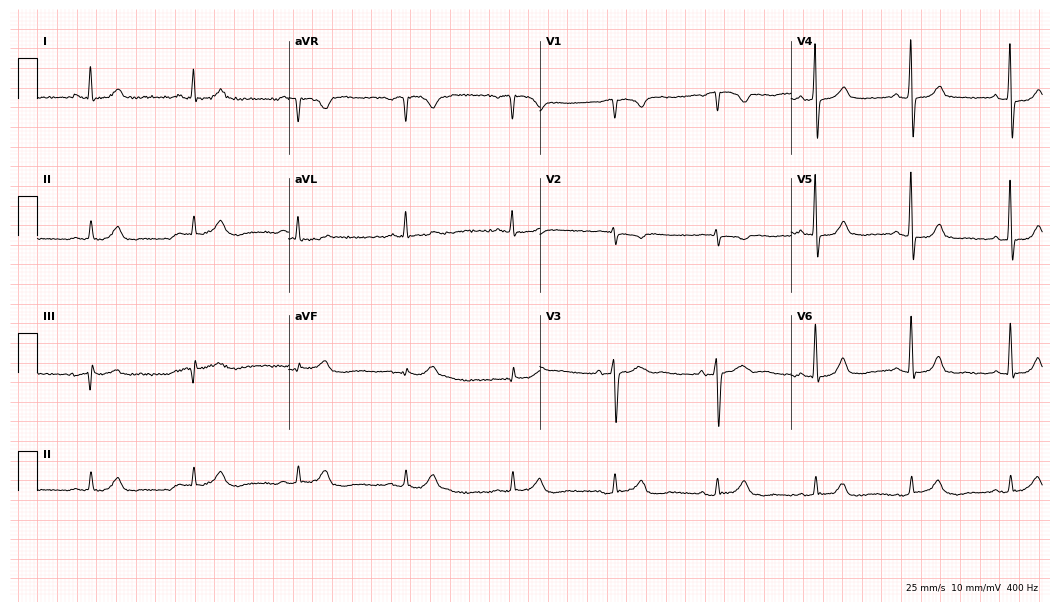
Resting 12-lead electrocardiogram (10.2-second recording at 400 Hz). Patient: a male, 63 years old. Read as a normal ECG.